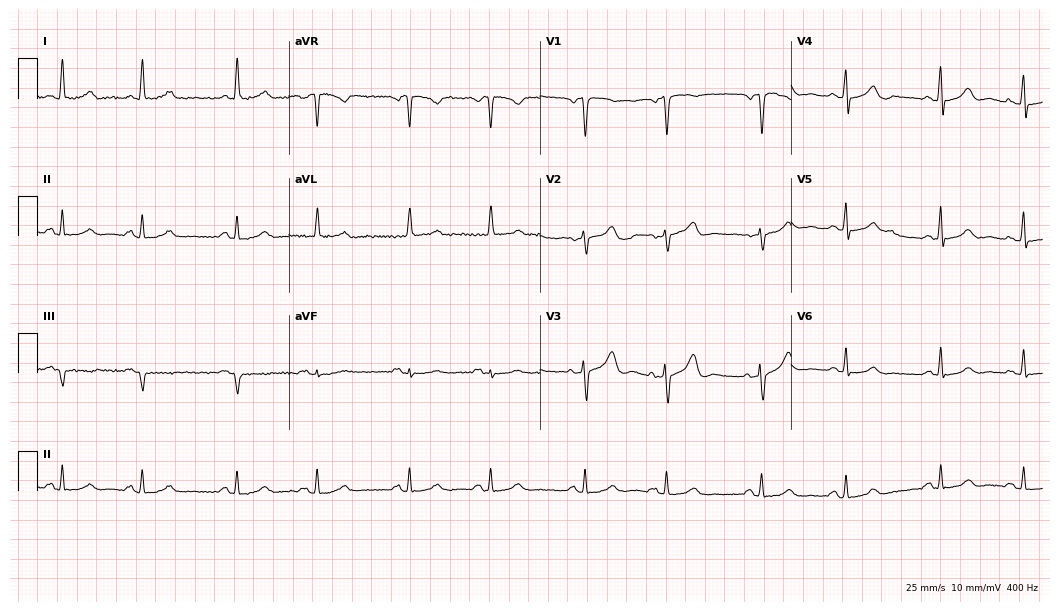
12-lead ECG (10.2-second recording at 400 Hz) from a 70-year-old man. Screened for six findings — first-degree AV block, right bundle branch block, left bundle branch block, sinus bradycardia, atrial fibrillation, sinus tachycardia — none is recorded. Other findings, if any, are not listed.